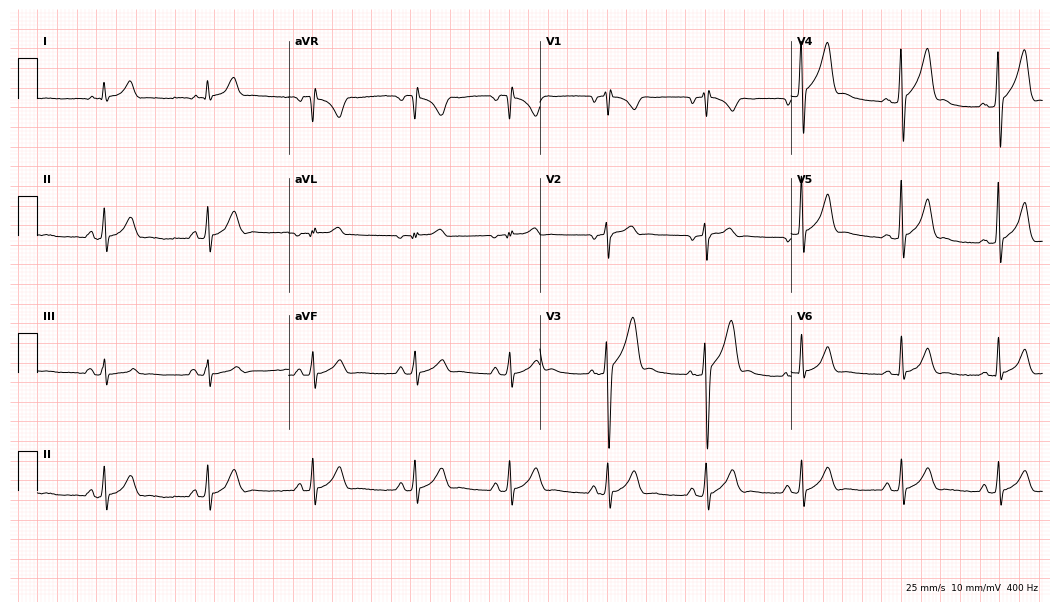
ECG (10.2-second recording at 400 Hz) — a 44-year-old male. Screened for six findings — first-degree AV block, right bundle branch block (RBBB), left bundle branch block (LBBB), sinus bradycardia, atrial fibrillation (AF), sinus tachycardia — none is recorded. Findings outside these six are not listed.